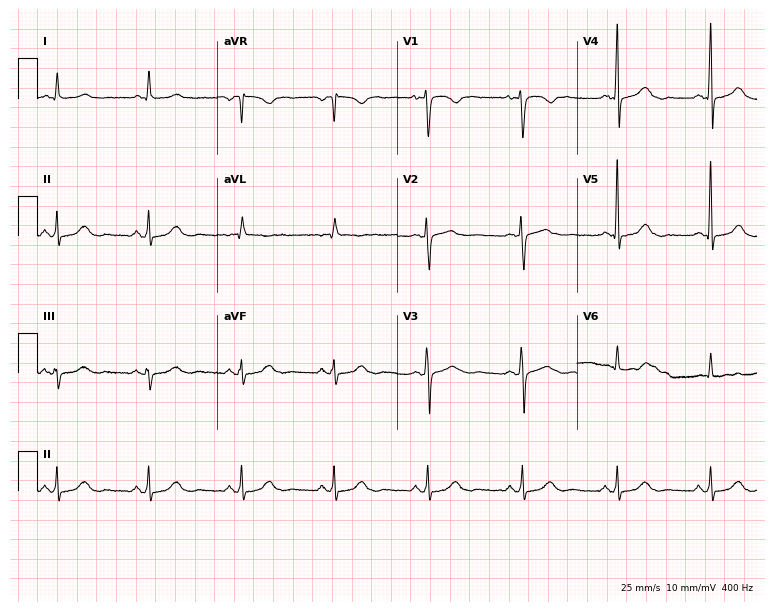
Resting 12-lead electrocardiogram. Patient: a 53-year-old woman. None of these six findings is recorded: first-degree AV block, right bundle branch block, left bundle branch block, sinus bradycardia, atrial fibrillation, sinus tachycardia.